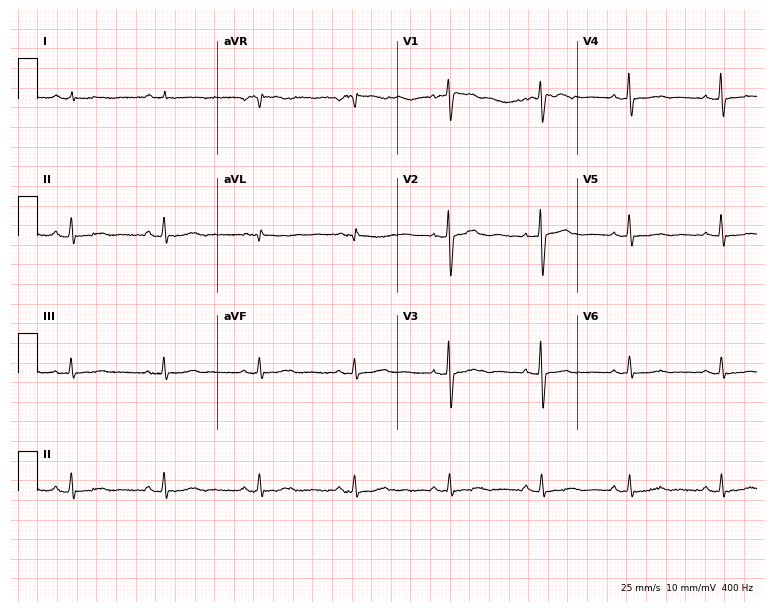
Electrocardiogram (7.3-second recording at 400 Hz), a female, 76 years old. Of the six screened findings (first-degree AV block, right bundle branch block (RBBB), left bundle branch block (LBBB), sinus bradycardia, atrial fibrillation (AF), sinus tachycardia), none is recorded. Findings outside these six are not listed.